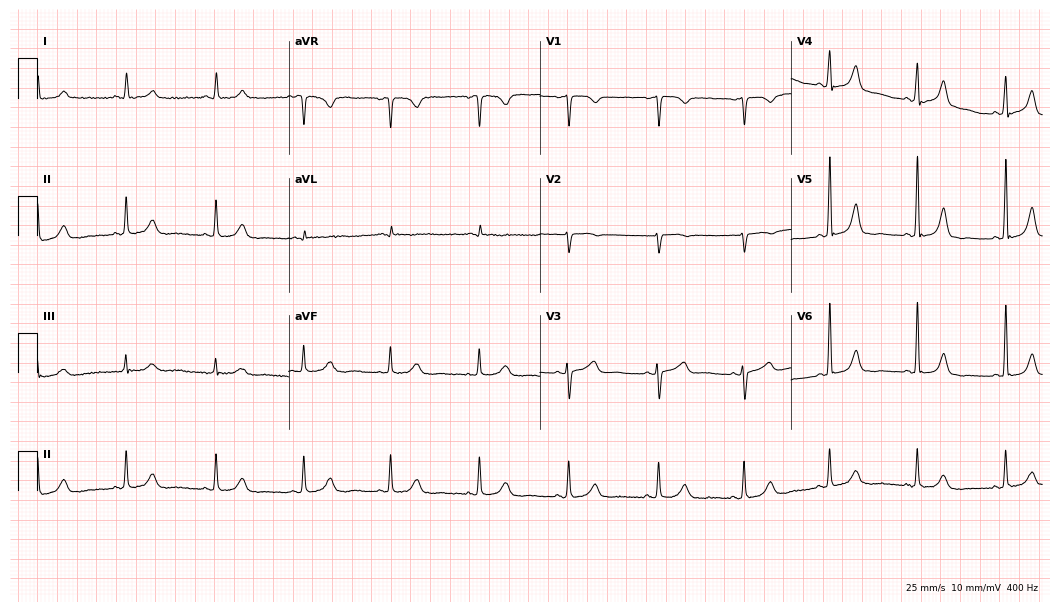
Electrocardiogram, a woman, 76 years old. Of the six screened findings (first-degree AV block, right bundle branch block, left bundle branch block, sinus bradycardia, atrial fibrillation, sinus tachycardia), none is recorded.